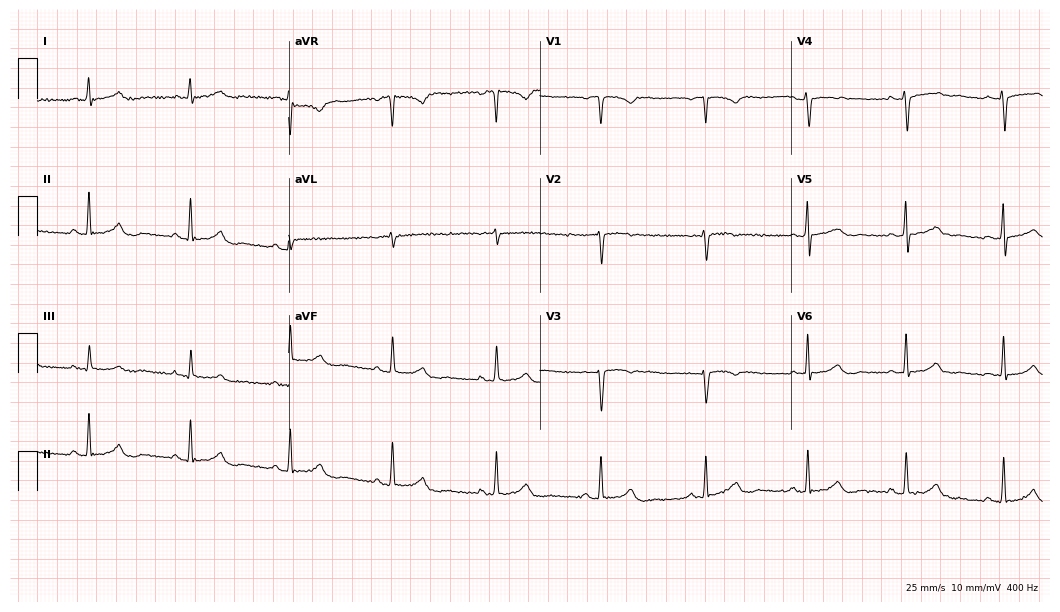
Standard 12-lead ECG recorded from a 69-year-old female patient. None of these six findings is recorded: first-degree AV block, right bundle branch block, left bundle branch block, sinus bradycardia, atrial fibrillation, sinus tachycardia.